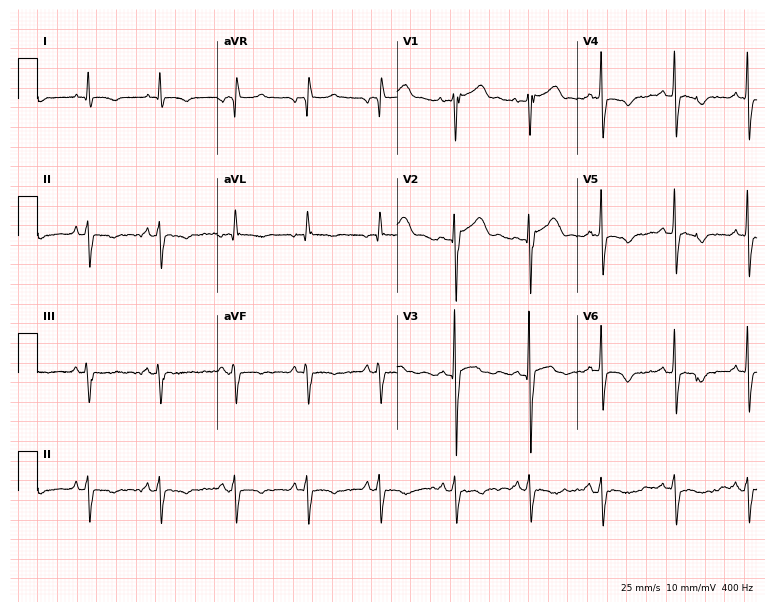
Resting 12-lead electrocardiogram. Patient: a 63-year-old male. None of these six findings is recorded: first-degree AV block, right bundle branch block, left bundle branch block, sinus bradycardia, atrial fibrillation, sinus tachycardia.